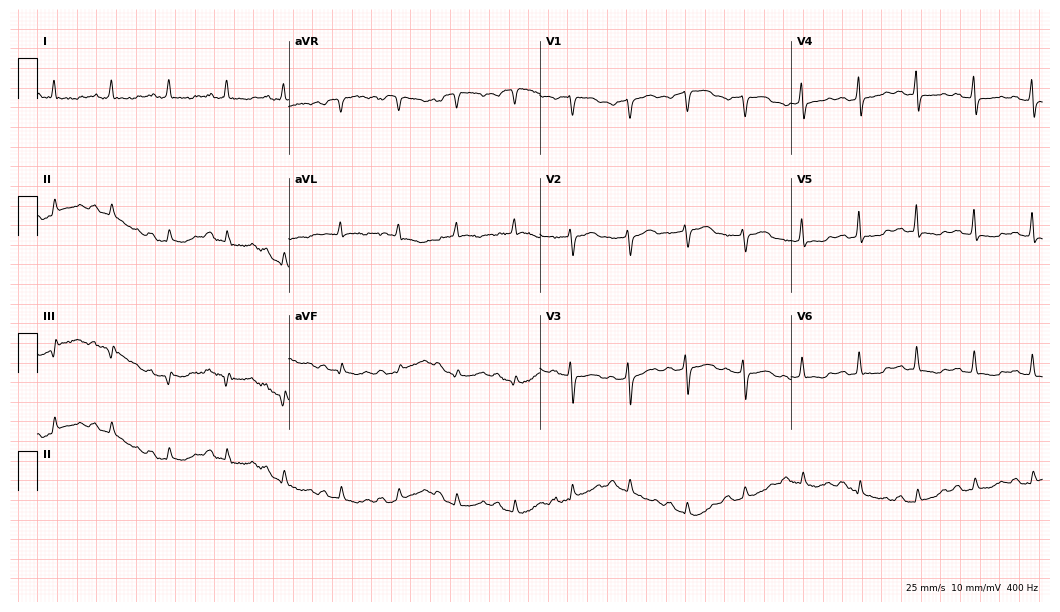
Electrocardiogram, a woman, 56 years old. Interpretation includes sinus tachycardia (a sinus rate of 100 beats per minute or more).